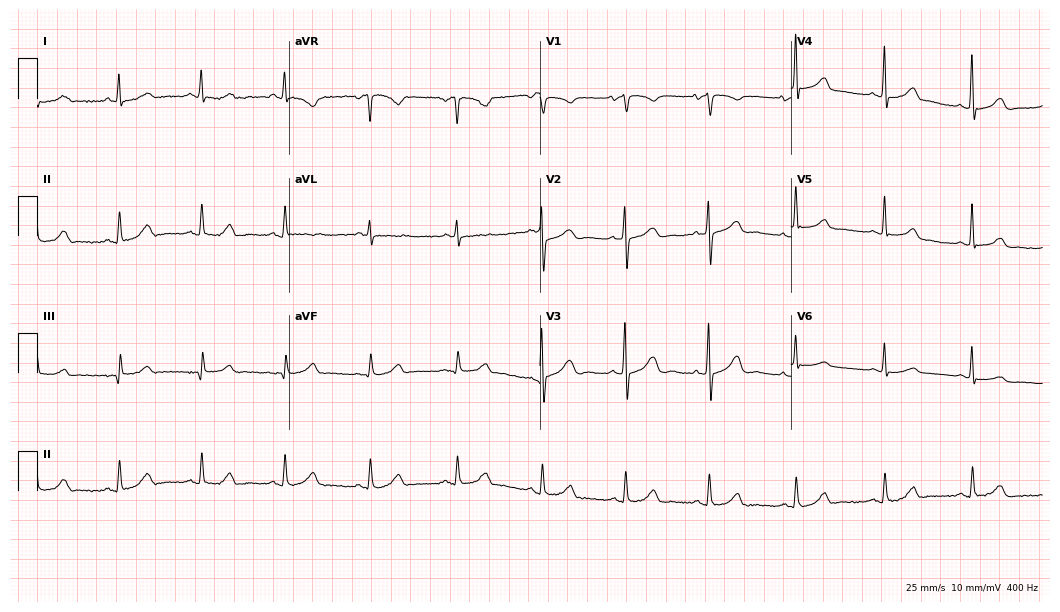
Standard 12-lead ECG recorded from a female, 62 years old. Read as a normal ECG.